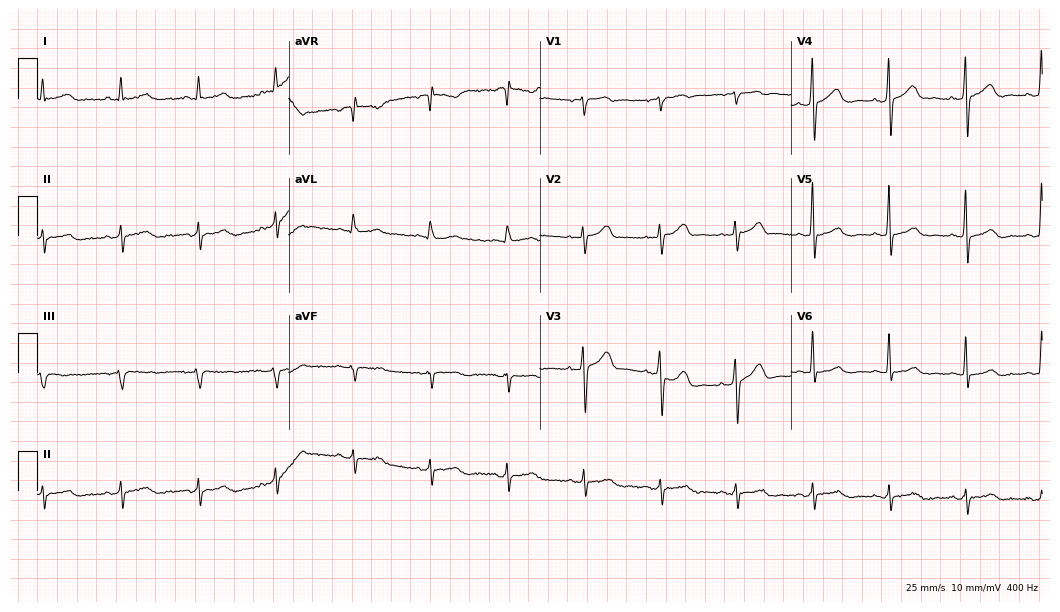
12-lead ECG from a 72-year-old man. Recorded interpretation: within normal limits.